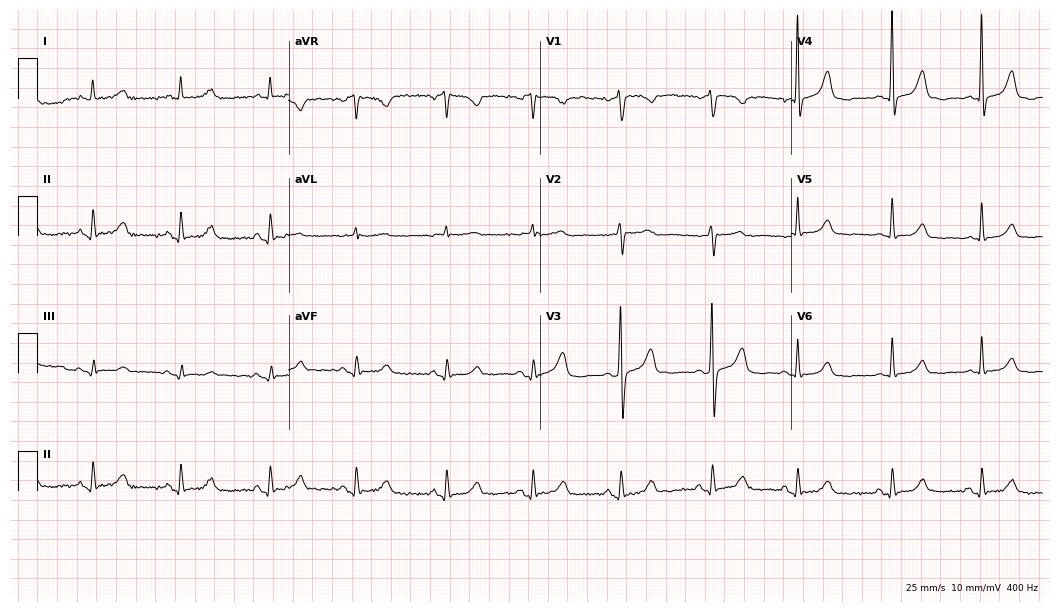
Standard 12-lead ECG recorded from a woman, 82 years old (10.2-second recording at 400 Hz). Read as a normal ECG.